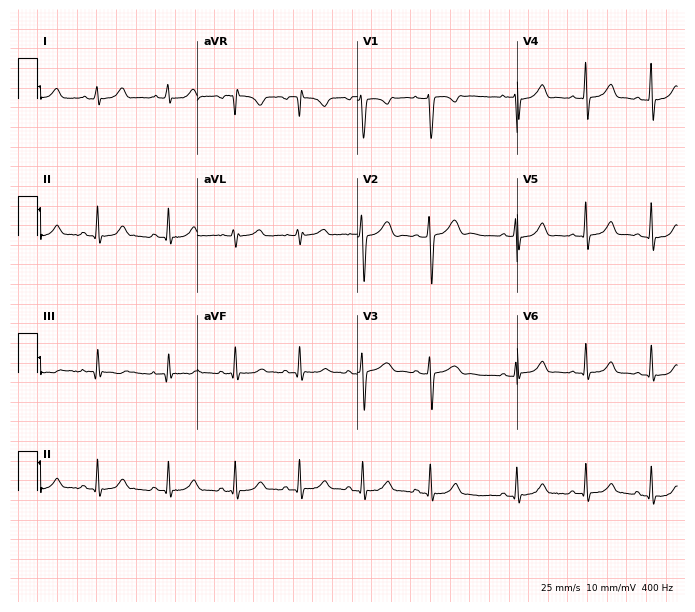
ECG — a 19-year-old female. Screened for six findings — first-degree AV block, right bundle branch block (RBBB), left bundle branch block (LBBB), sinus bradycardia, atrial fibrillation (AF), sinus tachycardia — none is recorded.